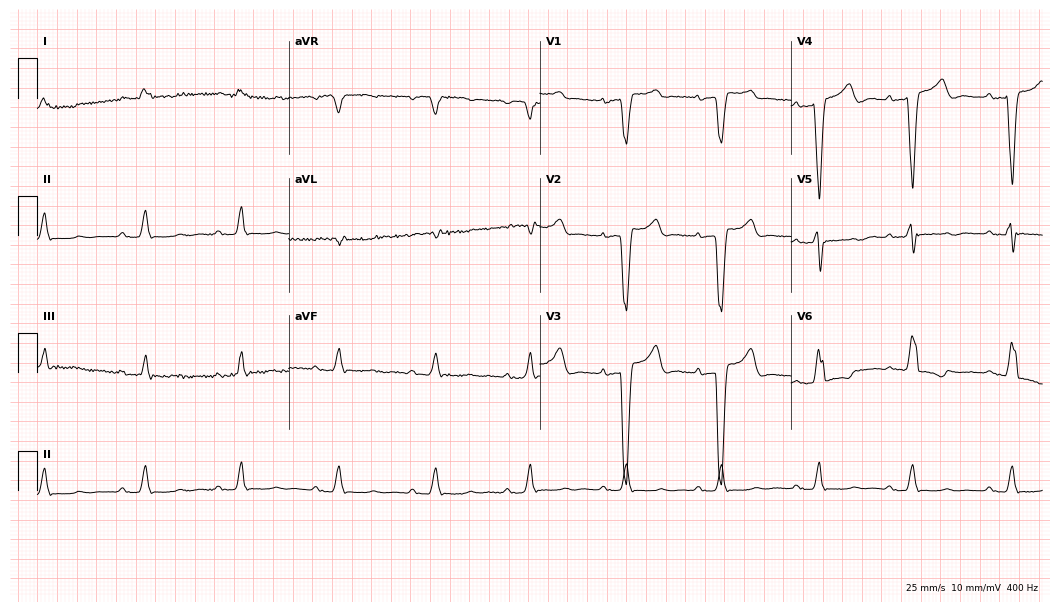
ECG — an 81-year-old woman. Findings include left bundle branch block.